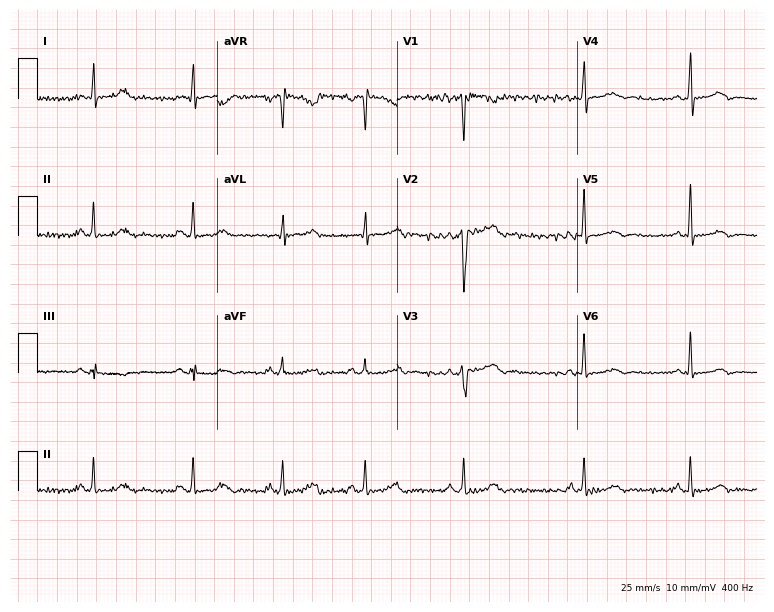
Resting 12-lead electrocardiogram. Patient: a woman, 34 years old. None of these six findings is recorded: first-degree AV block, right bundle branch block (RBBB), left bundle branch block (LBBB), sinus bradycardia, atrial fibrillation (AF), sinus tachycardia. Other findings, if any, are not listed.